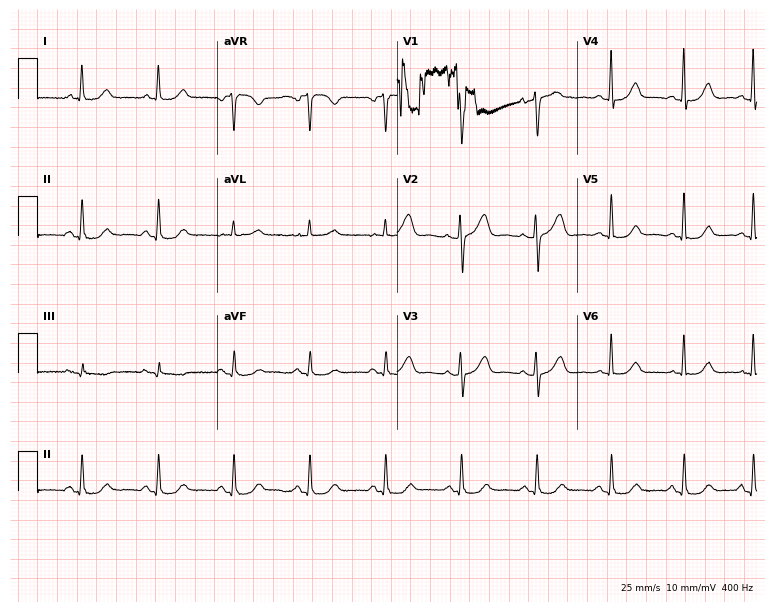
ECG (7.3-second recording at 400 Hz) — a female patient, 61 years old. Labelled as a normal ECG.